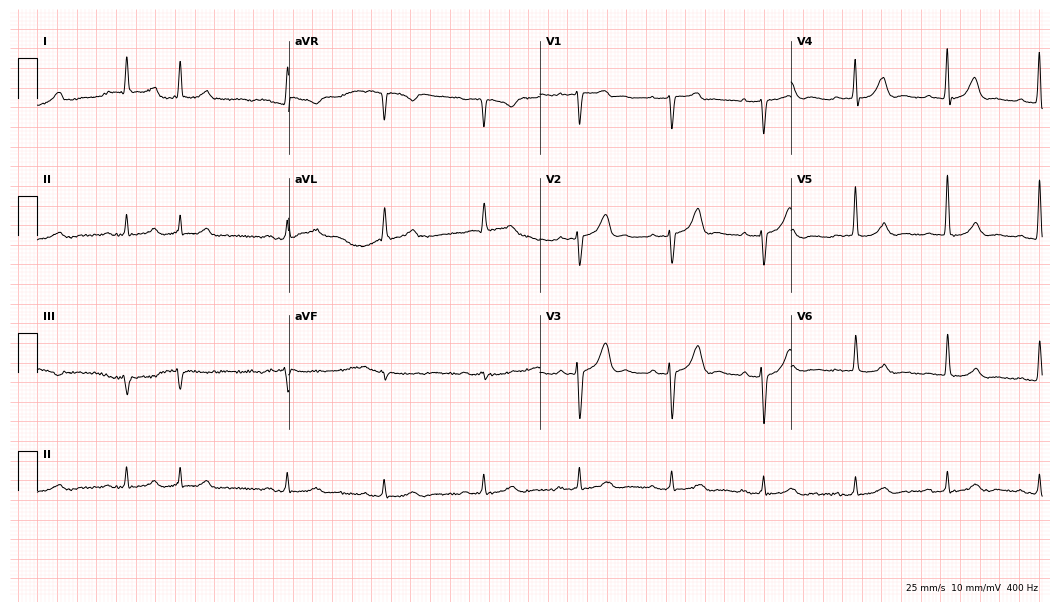
Standard 12-lead ECG recorded from a man, 80 years old. None of these six findings is recorded: first-degree AV block, right bundle branch block, left bundle branch block, sinus bradycardia, atrial fibrillation, sinus tachycardia. Findings outside these six are not listed.